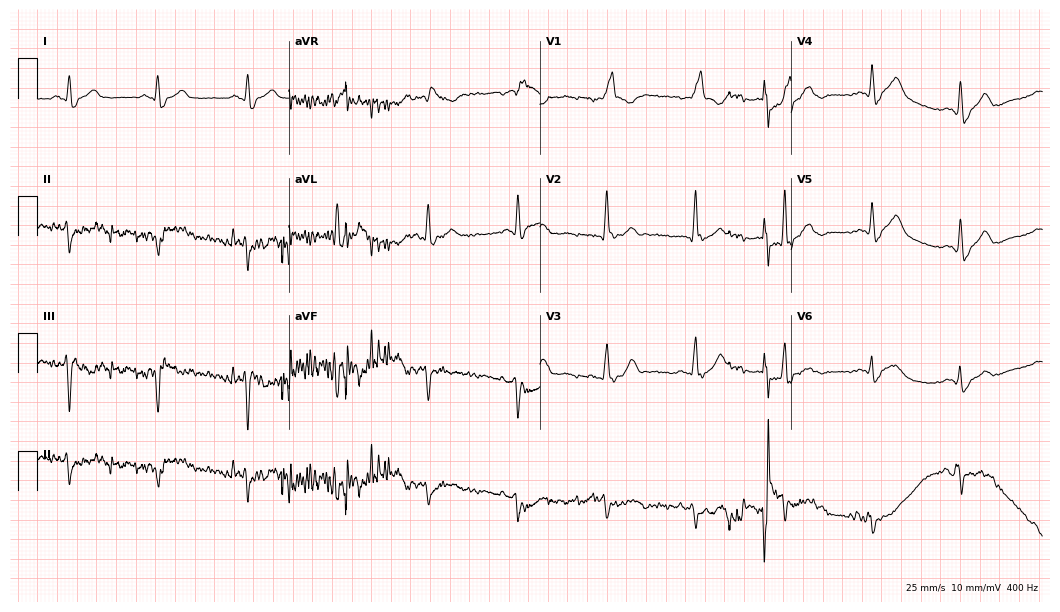
Standard 12-lead ECG recorded from a female, 81 years old. The tracing shows right bundle branch block.